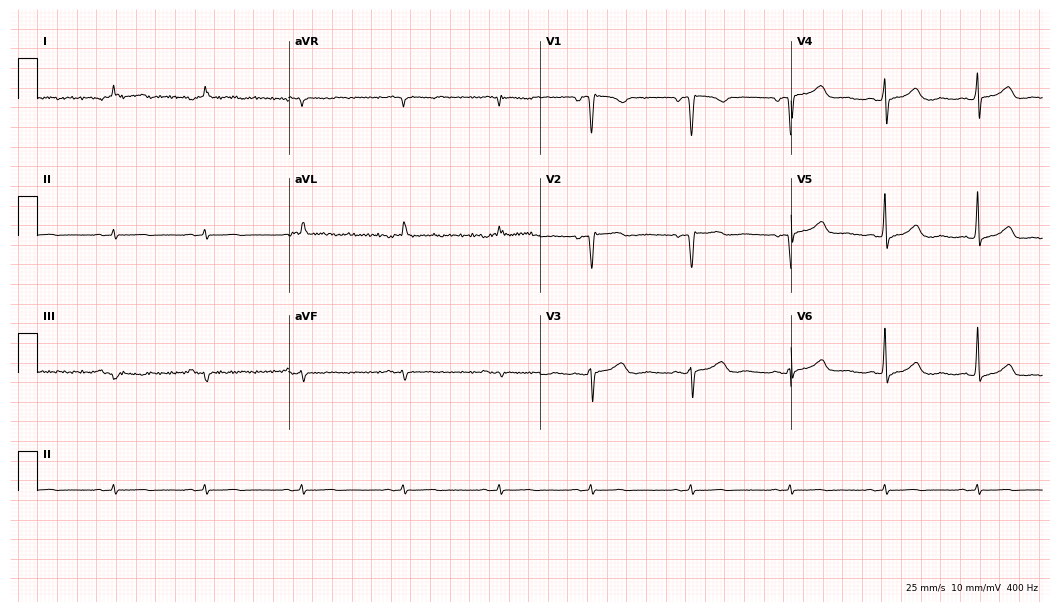
Electrocardiogram (10.2-second recording at 400 Hz), a 67-year-old woman. Of the six screened findings (first-degree AV block, right bundle branch block, left bundle branch block, sinus bradycardia, atrial fibrillation, sinus tachycardia), none is recorded.